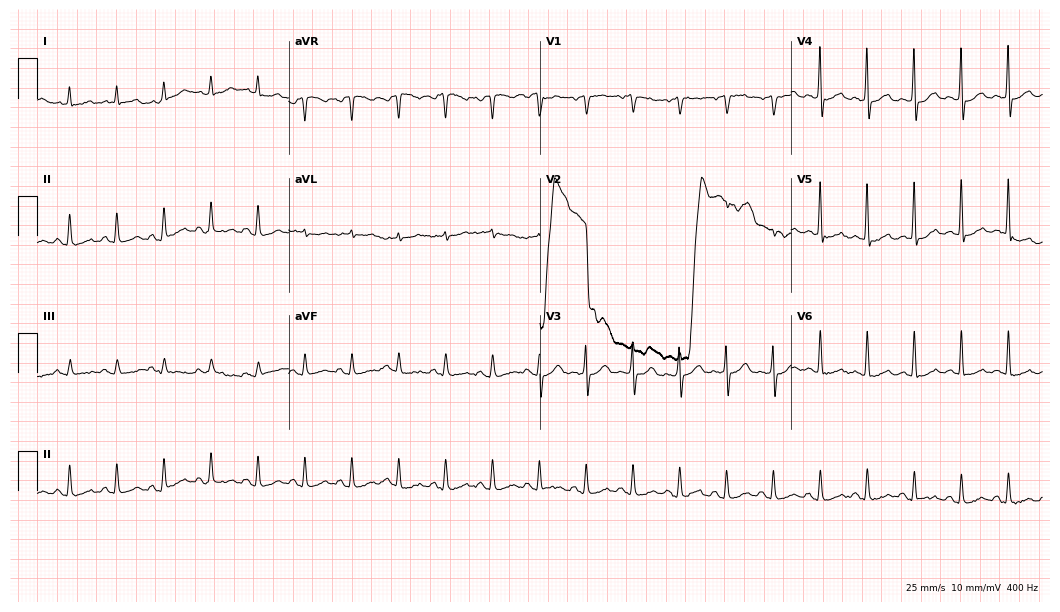
Standard 12-lead ECG recorded from a 72-year-old male. The tracing shows sinus tachycardia (a sinus rate of 100 beats per minute or more).